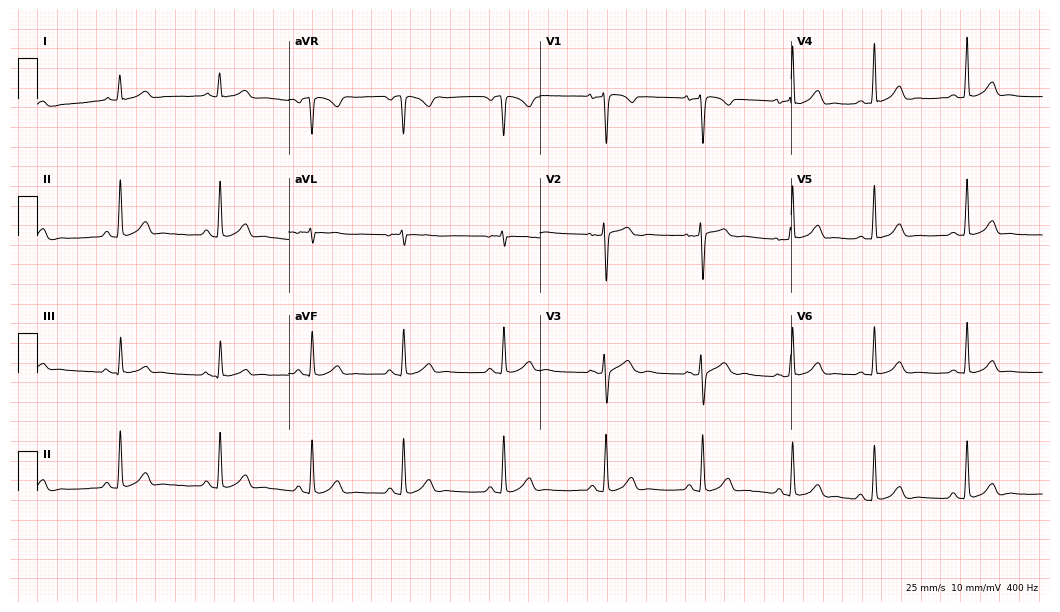
ECG (10.2-second recording at 400 Hz) — a female patient, 20 years old. Screened for six findings — first-degree AV block, right bundle branch block (RBBB), left bundle branch block (LBBB), sinus bradycardia, atrial fibrillation (AF), sinus tachycardia — none is recorded. Other findings, if any, are not listed.